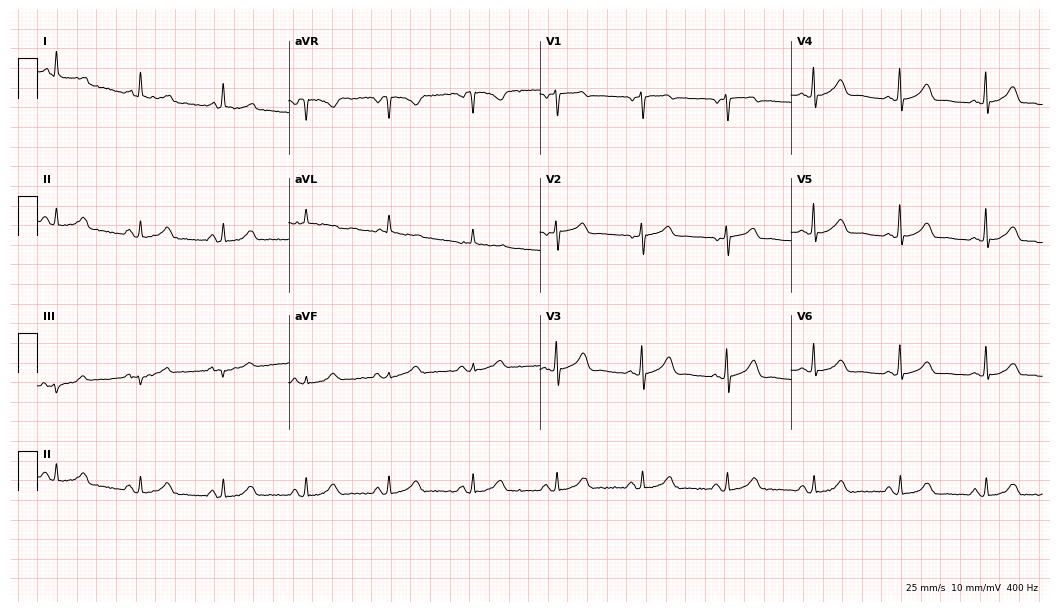
12-lead ECG from a woman, 60 years old (10.2-second recording at 400 Hz). Recorded interpretation: within normal limits.